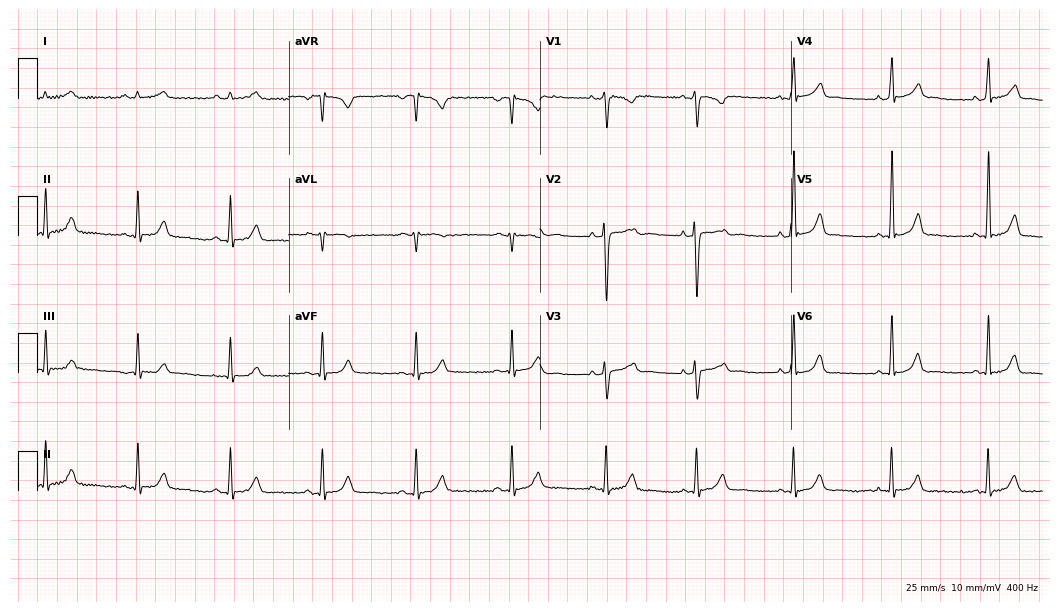
Standard 12-lead ECG recorded from a 29-year-old female. Read as a normal ECG.